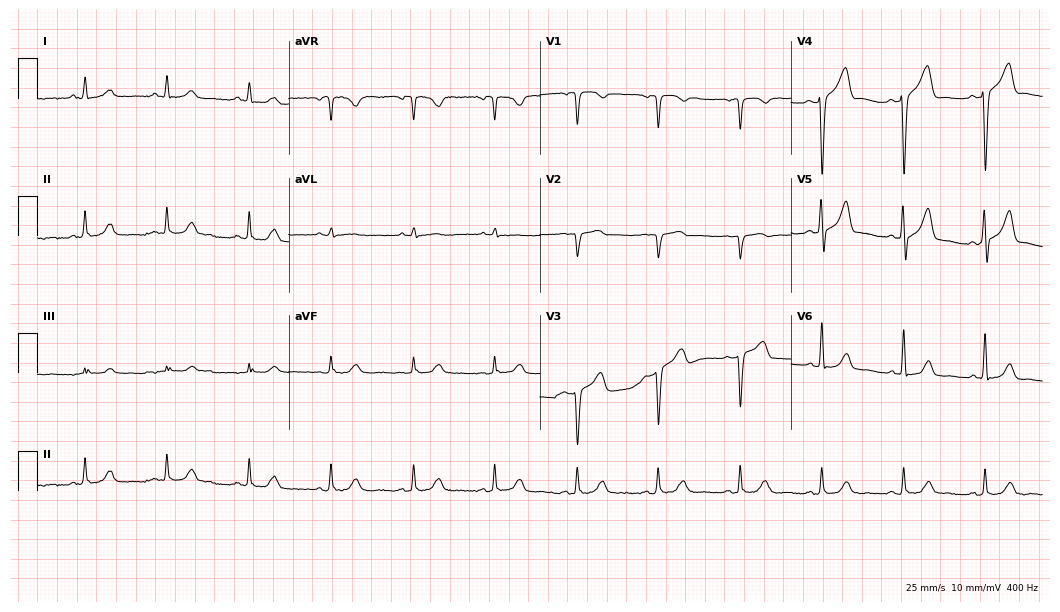
Electrocardiogram, a man, 59 years old. Of the six screened findings (first-degree AV block, right bundle branch block, left bundle branch block, sinus bradycardia, atrial fibrillation, sinus tachycardia), none is recorded. Only these six findings were labelled.